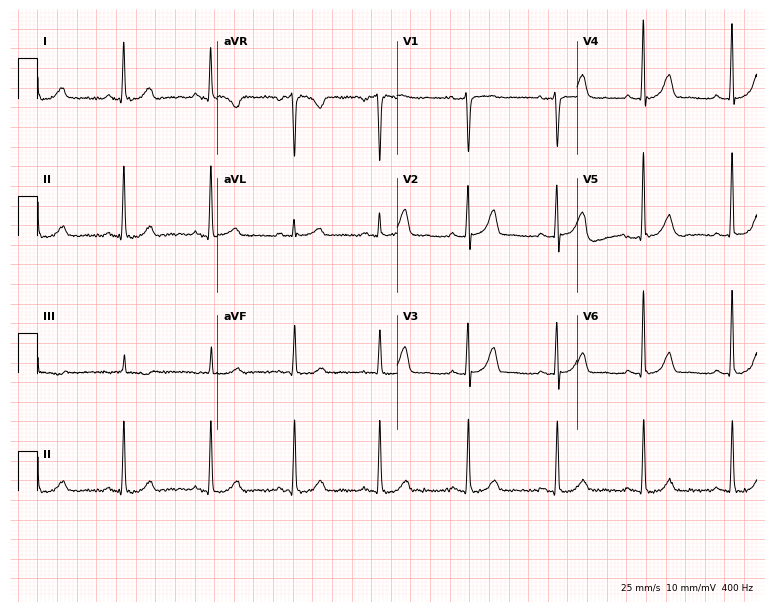
Resting 12-lead electrocardiogram (7.3-second recording at 400 Hz). Patient: a 38-year-old female. None of these six findings is recorded: first-degree AV block, right bundle branch block, left bundle branch block, sinus bradycardia, atrial fibrillation, sinus tachycardia. Only these six findings were labelled.